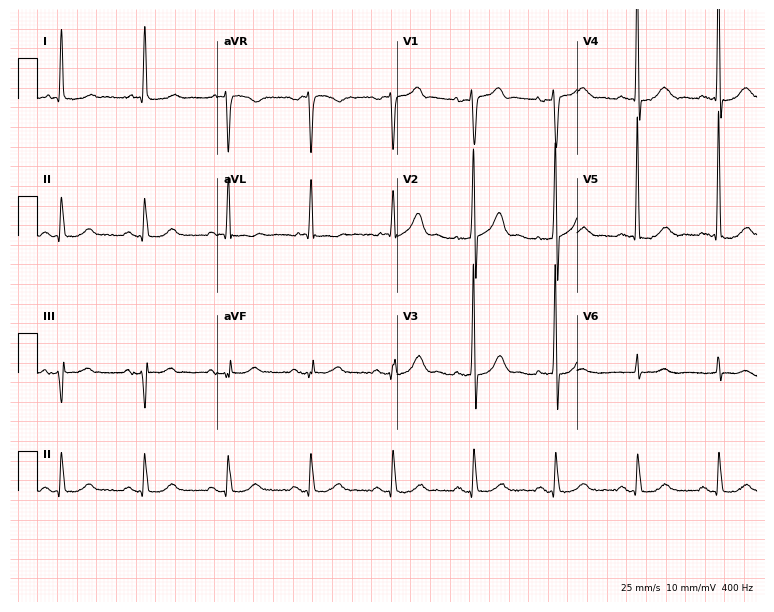
Electrocardiogram, a 75-year-old male. Of the six screened findings (first-degree AV block, right bundle branch block (RBBB), left bundle branch block (LBBB), sinus bradycardia, atrial fibrillation (AF), sinus tachycardia), none is recorded.